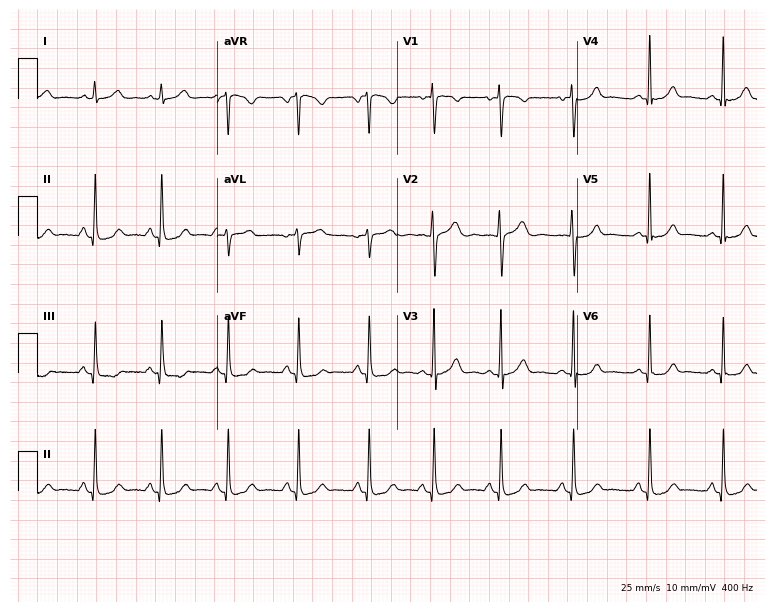
Standard 12-lead ECG recorded from a female, 18 years old. Read as a normal ECG.